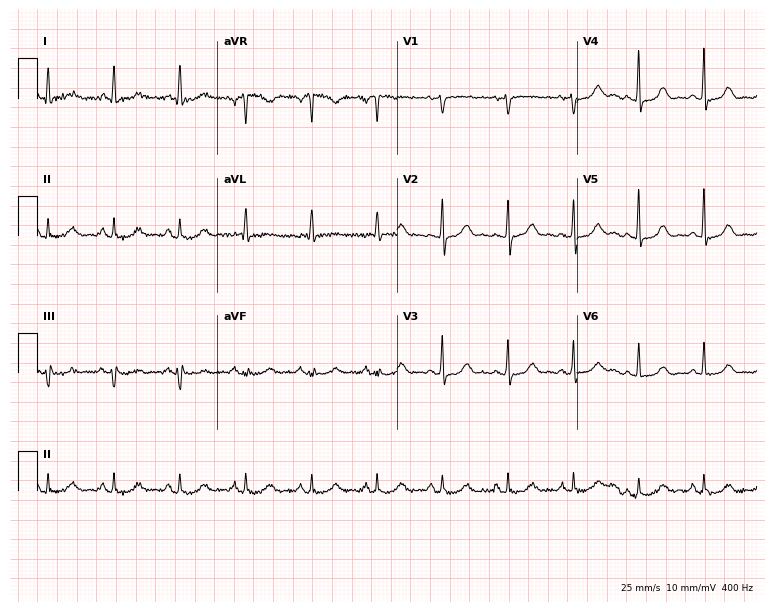
ECG (7.3-second recording at 400 Hz) — a 64-year-old male patient. Screened for six findings — first-degree AV block, right bundle branch block (RBBB), left bundle branch block (LBBB), sinus bradycardia, atrial fibrillation (AF), sinus tachycardia — none is recorded.